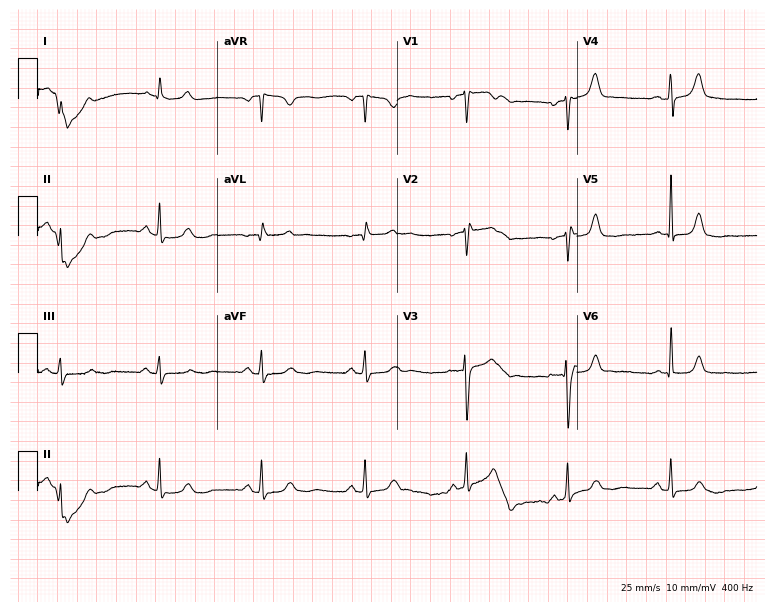
12-lead ECG (7.3-second recording at 400 Hz) from a 45-year-old female. Screened for six findings — first-degree AV block, right bundle branch block (RBBB), left bundle branch block (LBBB), sinus bradycardia, atrial fibrillation (AF), sinus tachycardia — none is recorded.